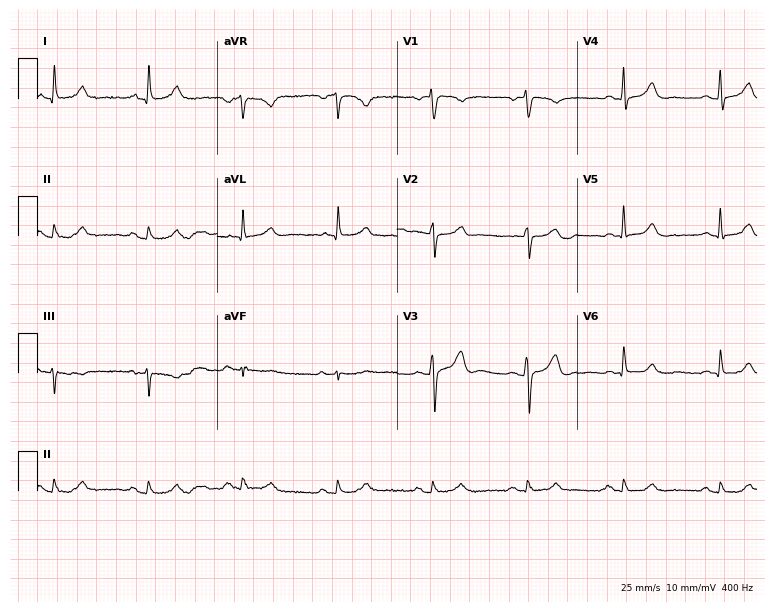
12-lead ECG from a man, 76 years old. No first-degree AV block, right bundle branch block, left bundle branch block, sinus bradycardia, atrial fibrillation or sinus tachycardia recorded for this tracing.